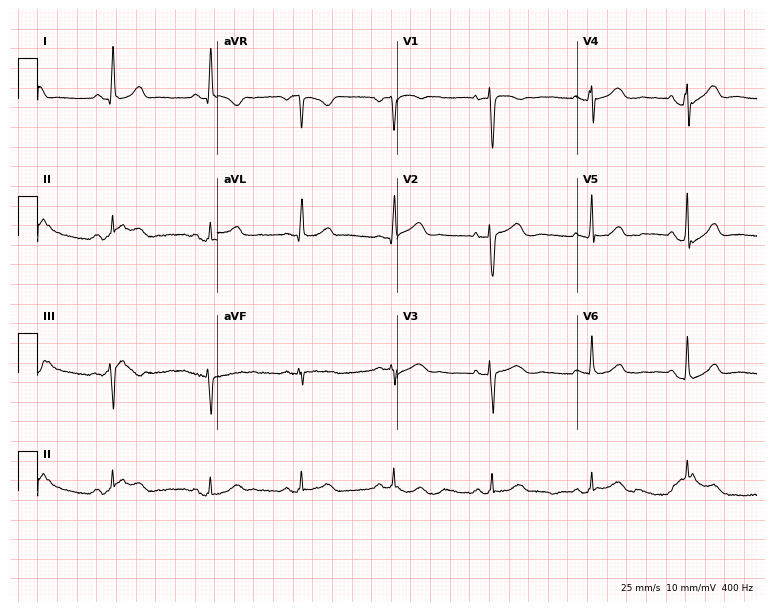
12-lead ECG from a female patient, 43 years old. Labelled as a normal ECG.